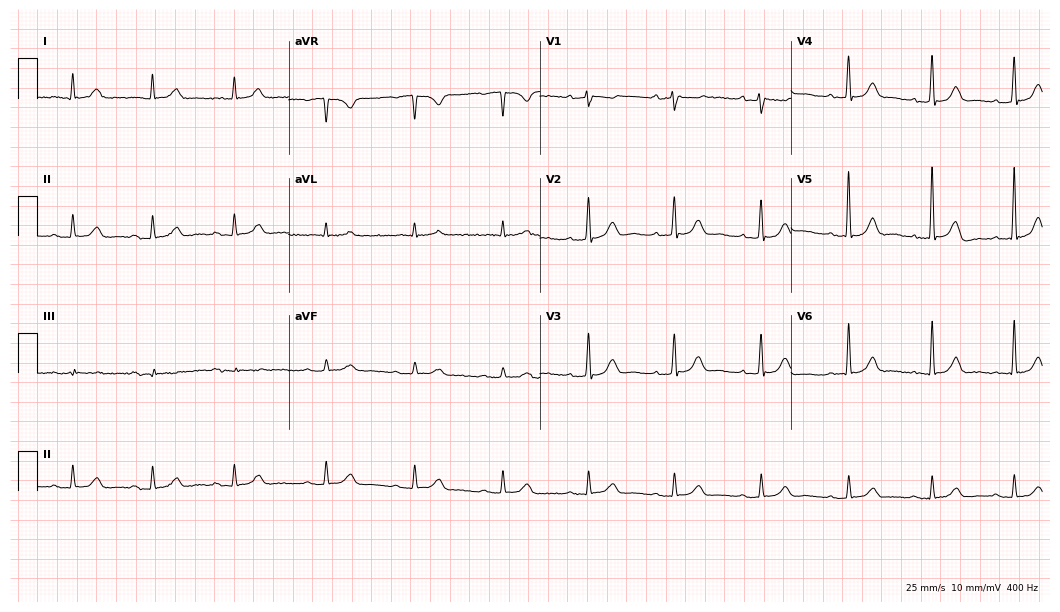
12-lead ECG from a female, 81 years old. Labelled as a normal ECG.